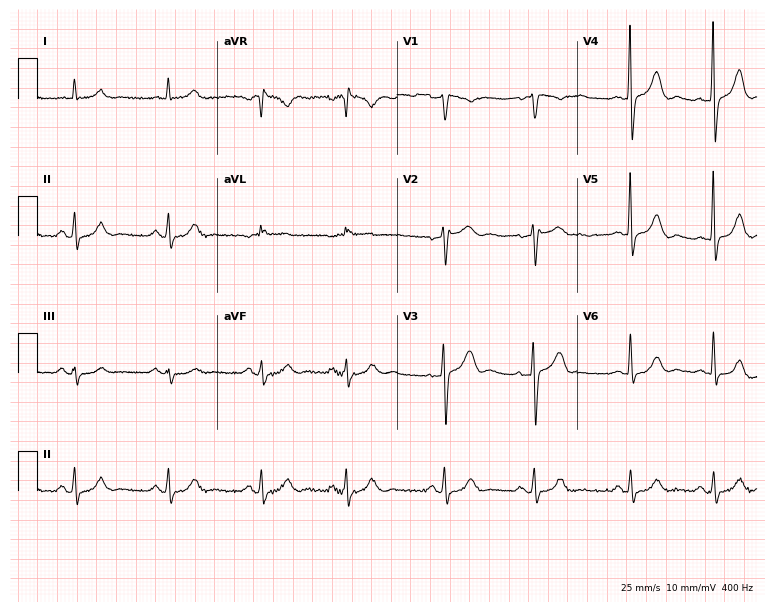
Standard 12-lead ECG recorded from a male, 77 years old. Read as a normal ECG.